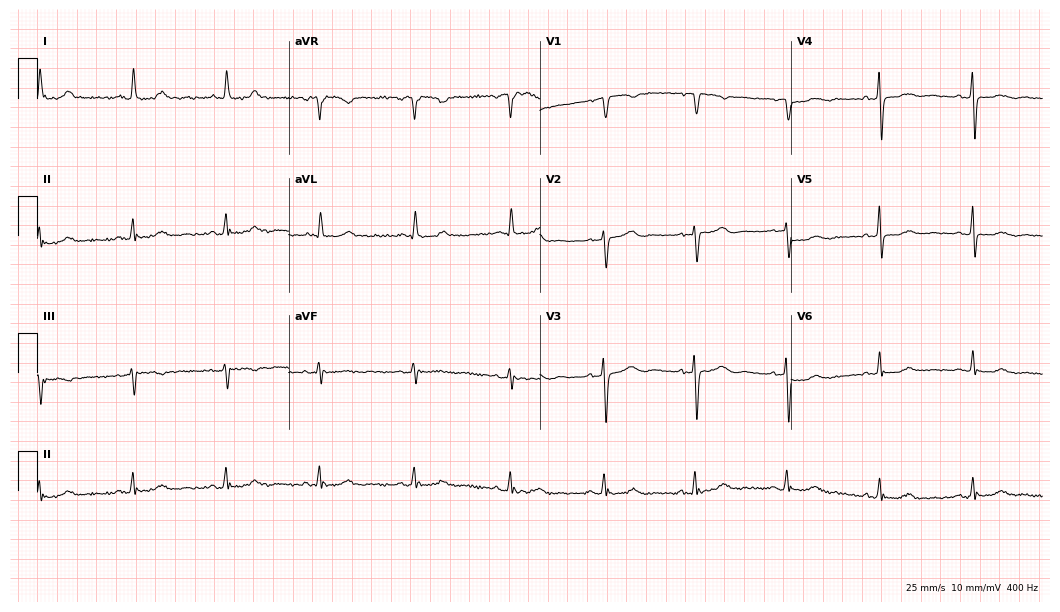
12-lead ECG from a woman, 63 years old. Screened for six findings — first-degree AV block, right bundle branch block, left bundle branch block, sinus bradycardia, atrial fibrillation, sinus tachycardia — none is recorded.